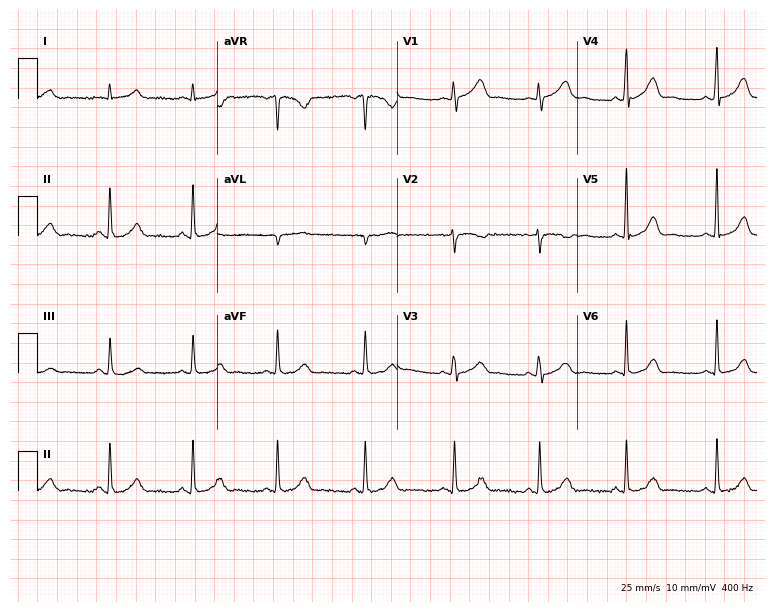
12-lead ECG from a 33-year-old female. No first-degree AV block, right bundle branch block, left bundle branch block, sinus bradycardia, atrial fibrillation or sinus tachycardia recorded for this tracing. Findings outside these six are not listed.